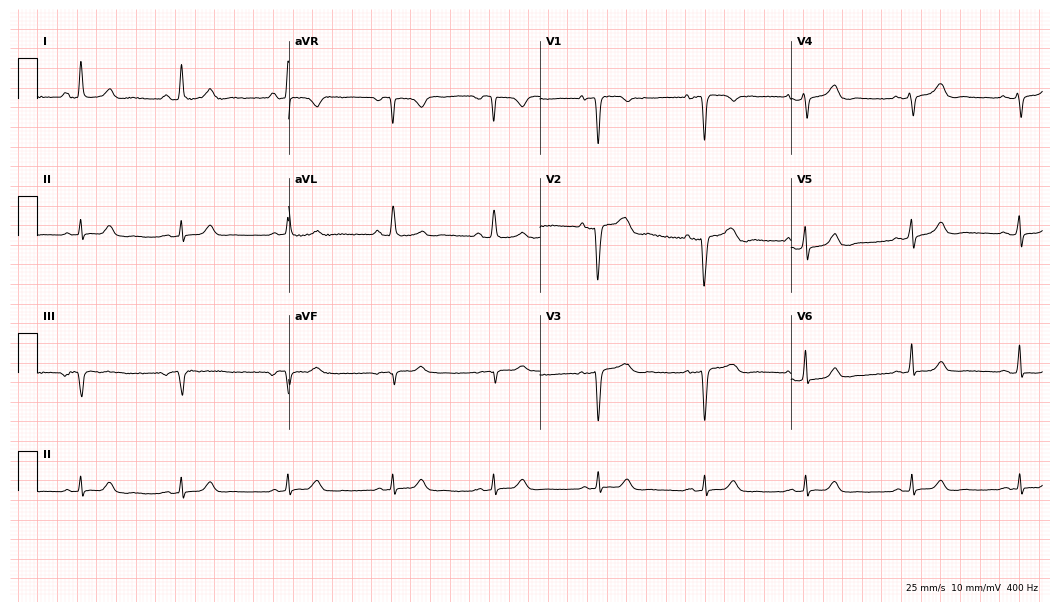
12-lead ECG from a 44-year-old woman. Recorded interpretation: within normal limits.